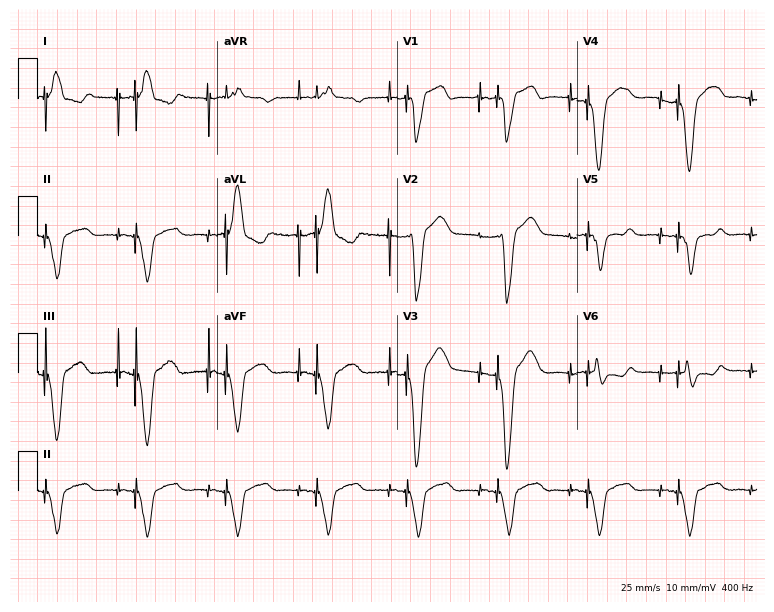
Electrocardiogram, a male, 86 years old. Of the six screened findings (first-degree AV block, right bundle branch block (RBBB), left bundle branch block (LBBB), sinus bradycardia, atrial fibrillation (AF), sinus tachycardia), none is recorded. Other findings, if any, are not listed.